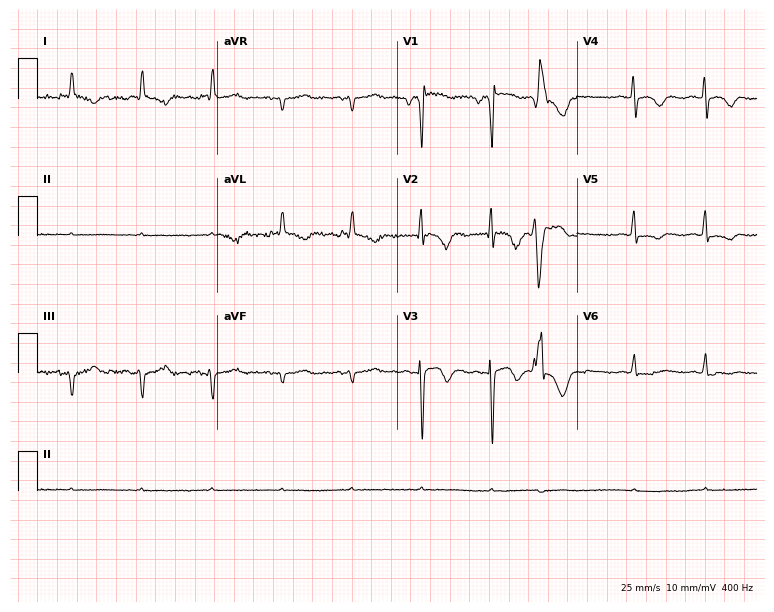
Resting 12-lead electrocardiogram (7.3-second recording at 400 Hz). Patient: a female, 77 years old. None of these six findings is recorded: first-degree AV block, right bundle branch block (RBBB), left bundle branch block (LBBB), sinus bradycardia, atrial fibrillation (AF), sinus tachycardia.